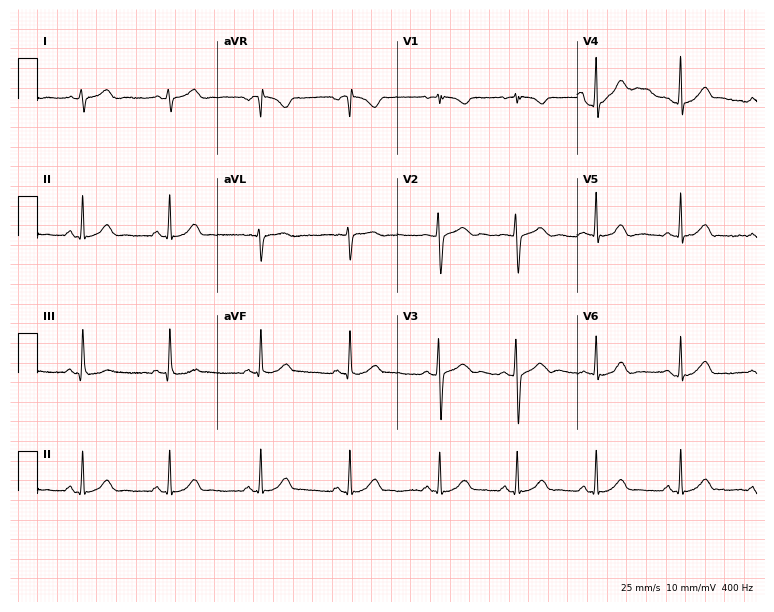
Electrocardiogram, a 19-year-old female patient. Overall reading on record: normal ECG.